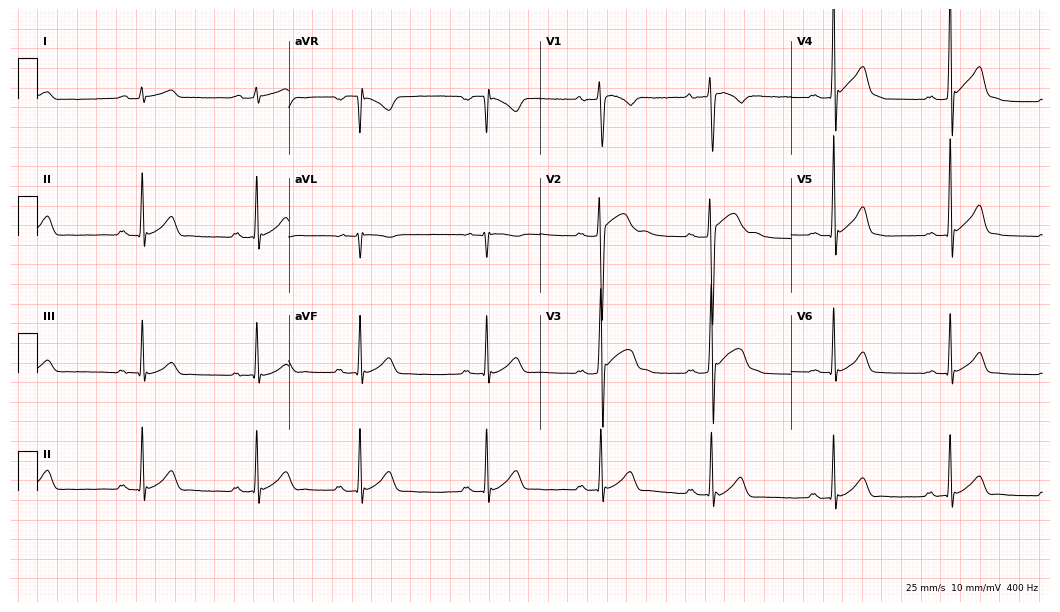
Standard 12-lead ECG recorded from a 19-year-old man (10.2-second recording at 400 Hz). Read as a normal ECG.